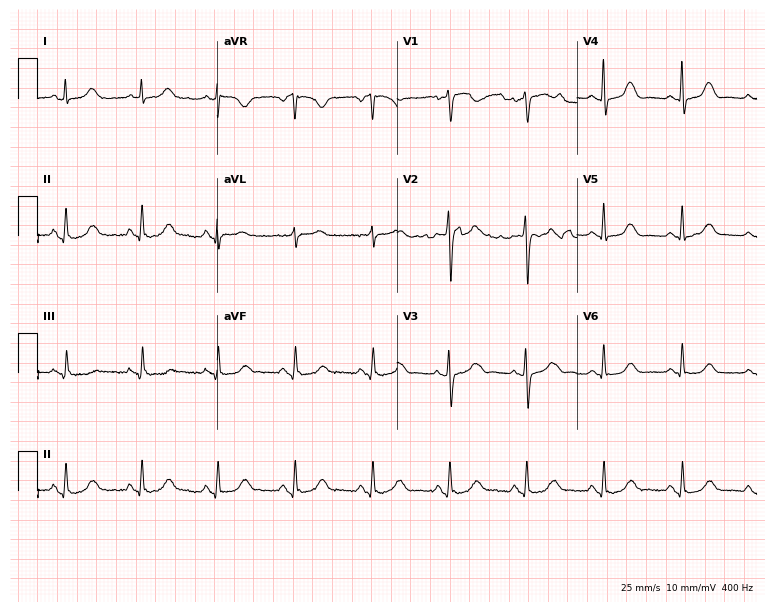
ECG — a 79-year-old woman. Labelled as a normal ECG.